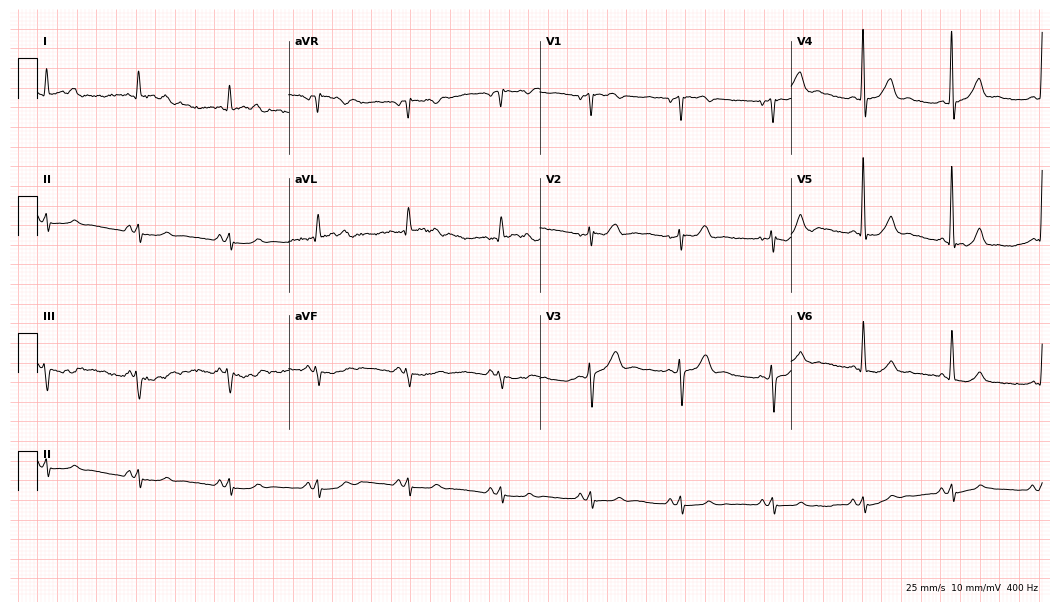
Standard 12-lead ECG recorded from a male patient, 69 years old (10.2-second recording at 400 Hz). Read as a normal ECG.